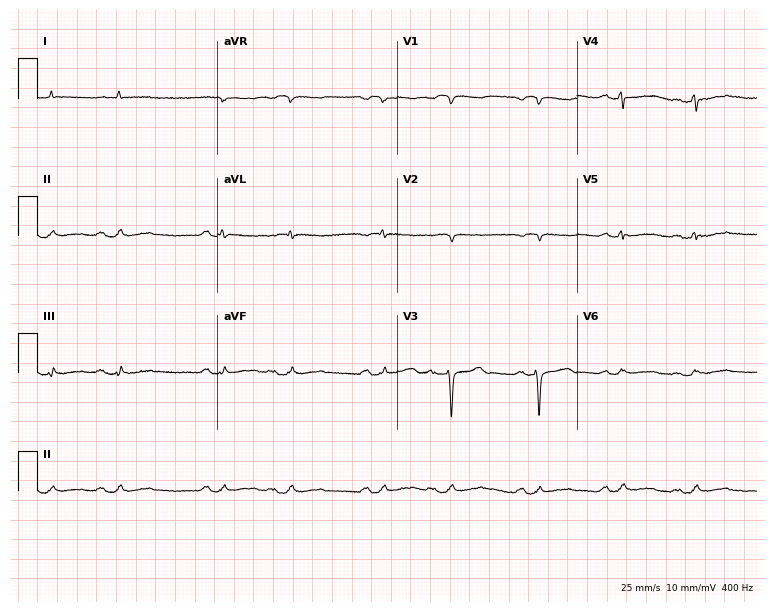
Standard 12-lead ECG recorded from a 69-year-old male patient. Read as a normal ECG.